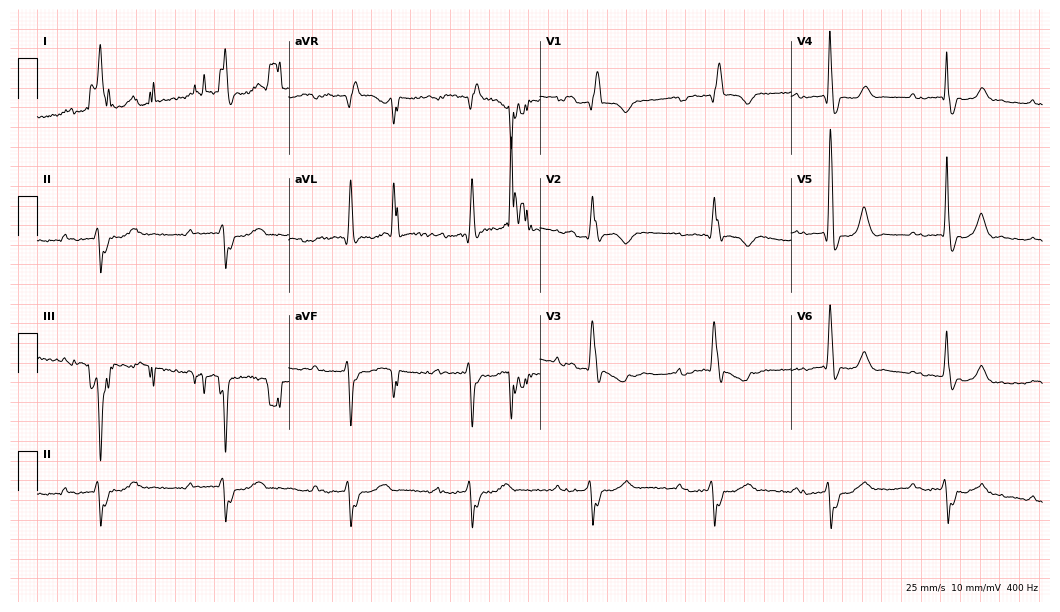
Standard 12-lead ECG recorded from an 81-year-old man (10.2-second recording at 400 Hz). The tracing shows first-degree AV block, right bundle branch block, sinus bradycardia (a sinus rate of 50 beats per minute or less).